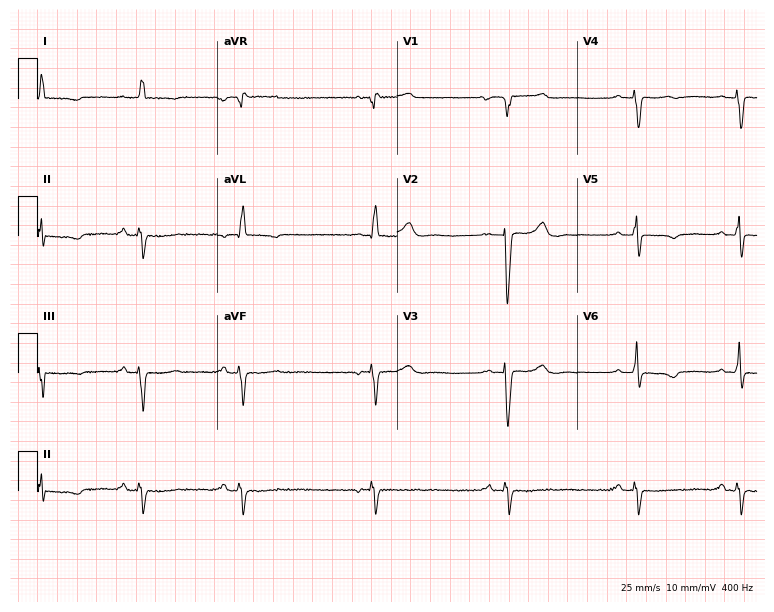
Resting 12-lead electrocardiogram. Patient: a 69-year-old female. None of these six findings is recorded: first-degree AV block, right bundle branch block, left bundle branch block, sinus bradycardia, atrial fibrillation, sinus tachycardia. Only these six findings were labelled.